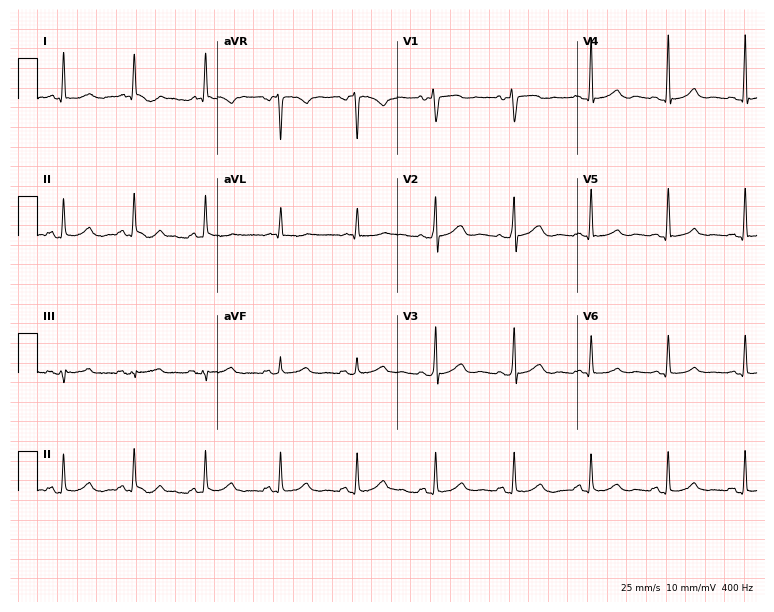
ECG (7.3-second recording at 400 Hz) — a female, 57 years old. Labelled as a normal ECG.